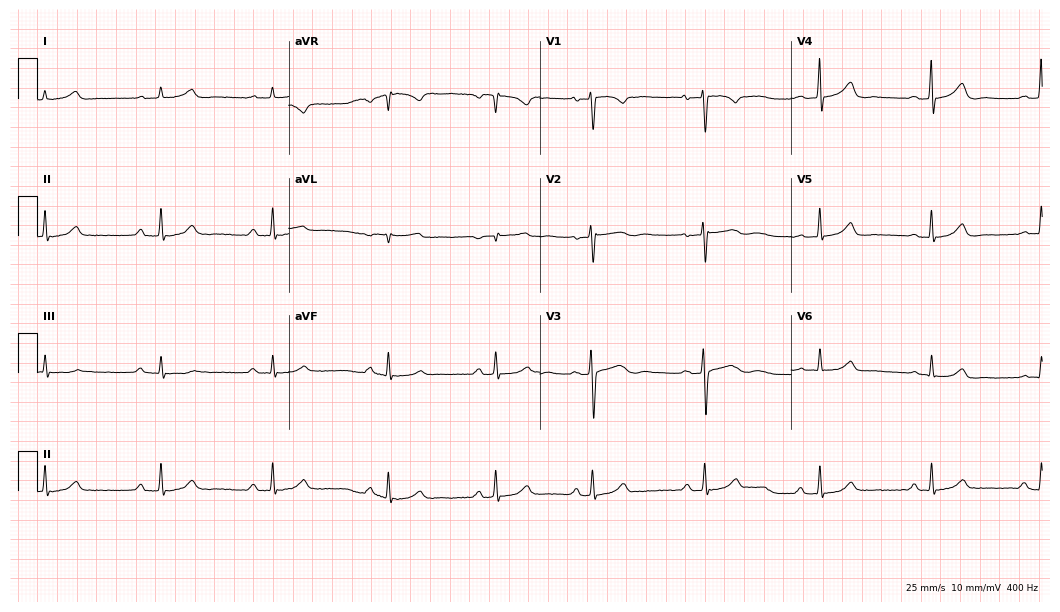
Standard 12-lead ECG recorded from a 48-year-old female (10.2-second recording at 400 Hz). Read as a normal ECG.